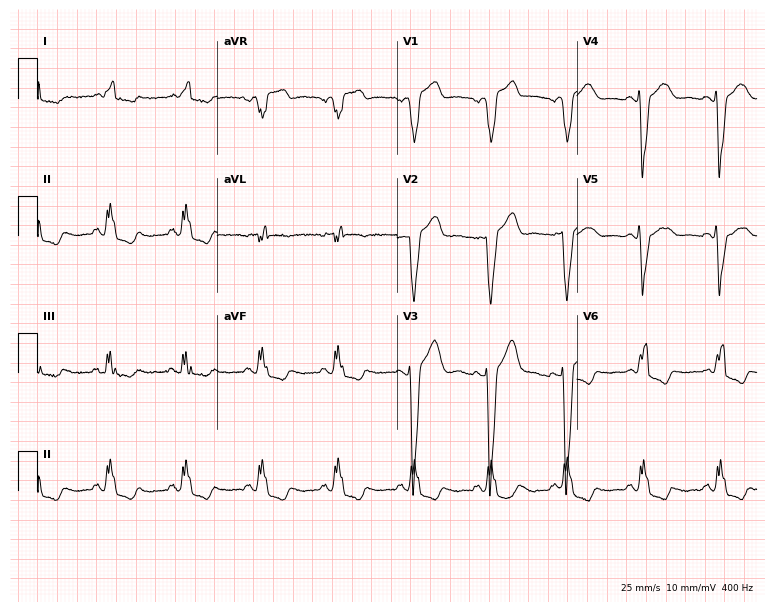
Electrocardiogram (7.3-second recording at 400 Hz), a 61-year-old male. Interpretation includes left bundle branch block (LBBB).